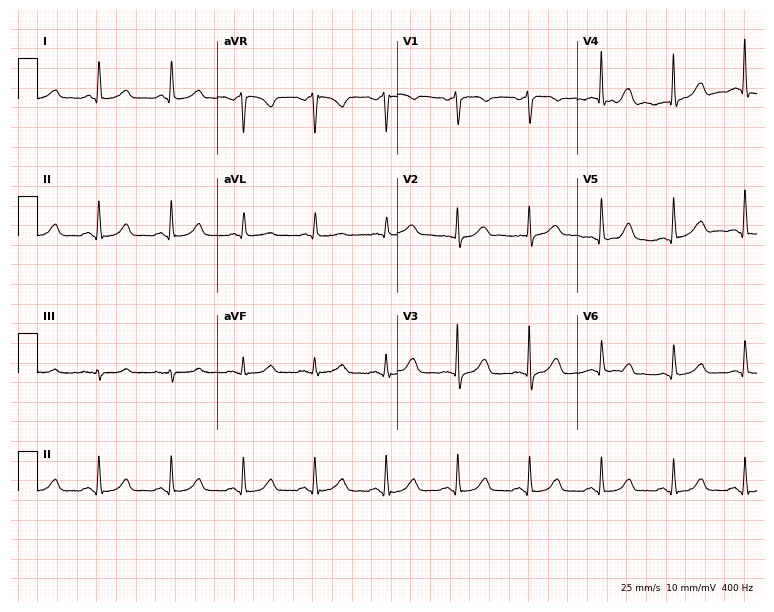
Electrocardiogram (7.3-second recording at 400 Hz), a 67-year-old female patient. Overall reading on record: normal ECG.